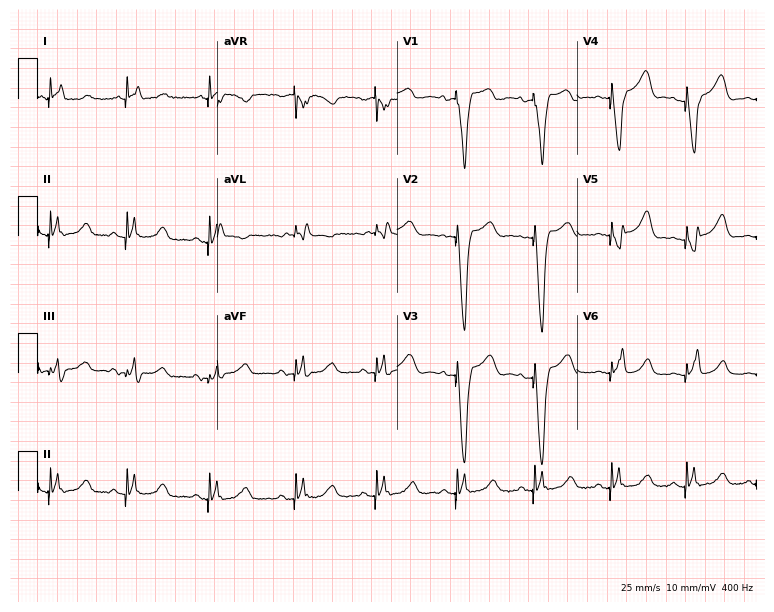
ECG — an 81-year-old female. Screened for six findings — first-degree AV block, right bundle branch block, left bundle branch block, sinus bradycardia, atrial fibrillation, sinus tachycardia — none is recorded. Other findings, if any, are not listed.